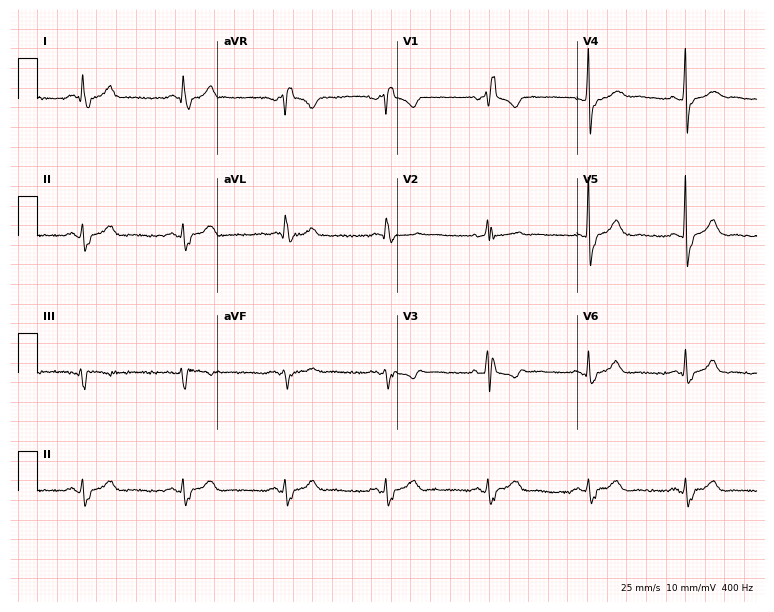
Resting 12-lead electrocardiogram. Patient: a man, 66 years old. The tracing shows right bundle branch block (RBBB).